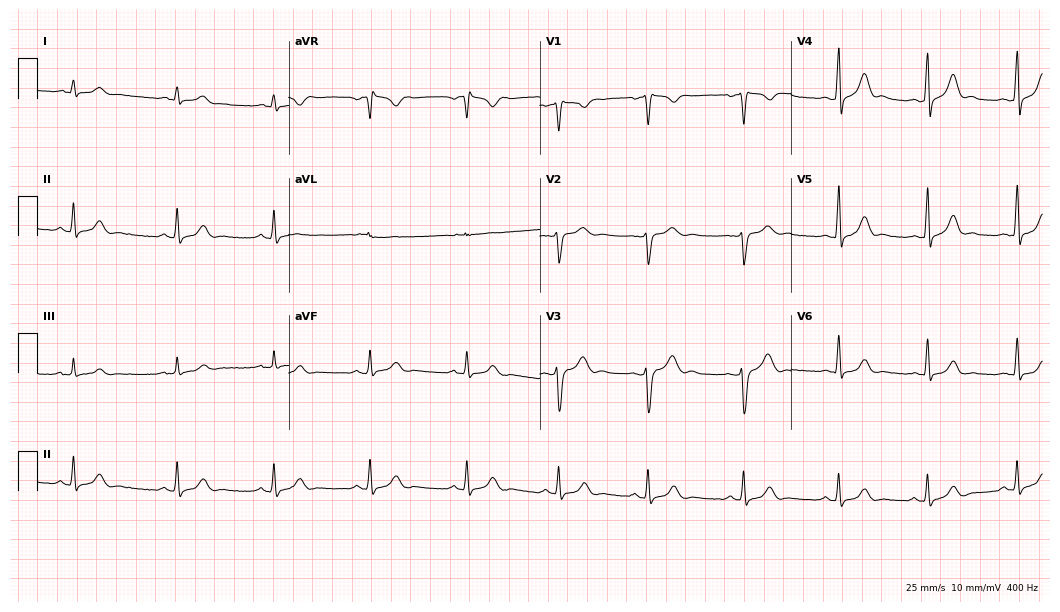
ECG (10.2-second recording at 400 Hz) — a 28-year-old man. Labelled as a normal ECG.